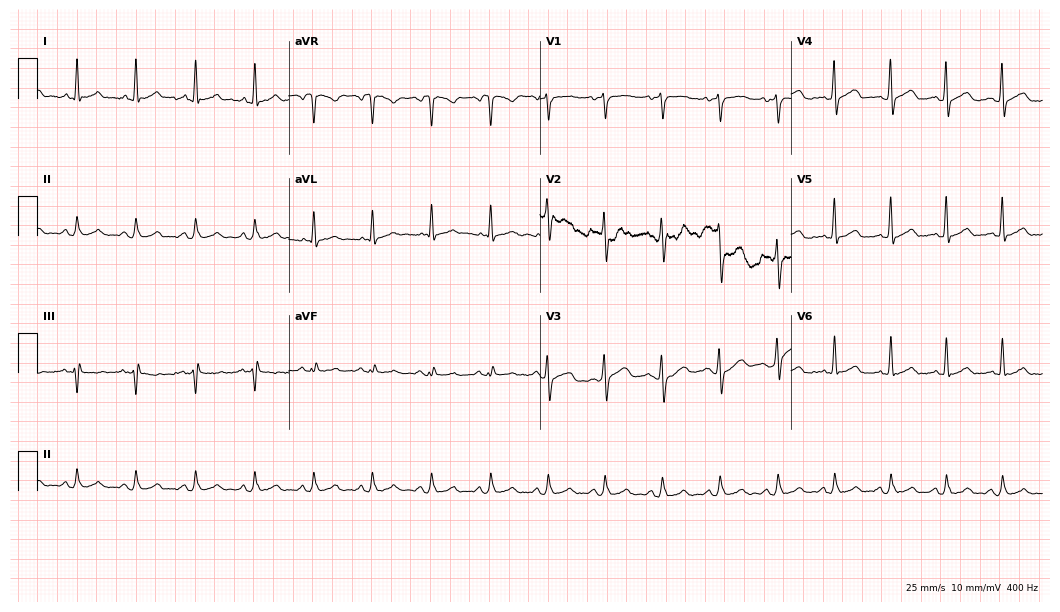
ECG — a male, 45 years old. Labelled as a normal ECG.